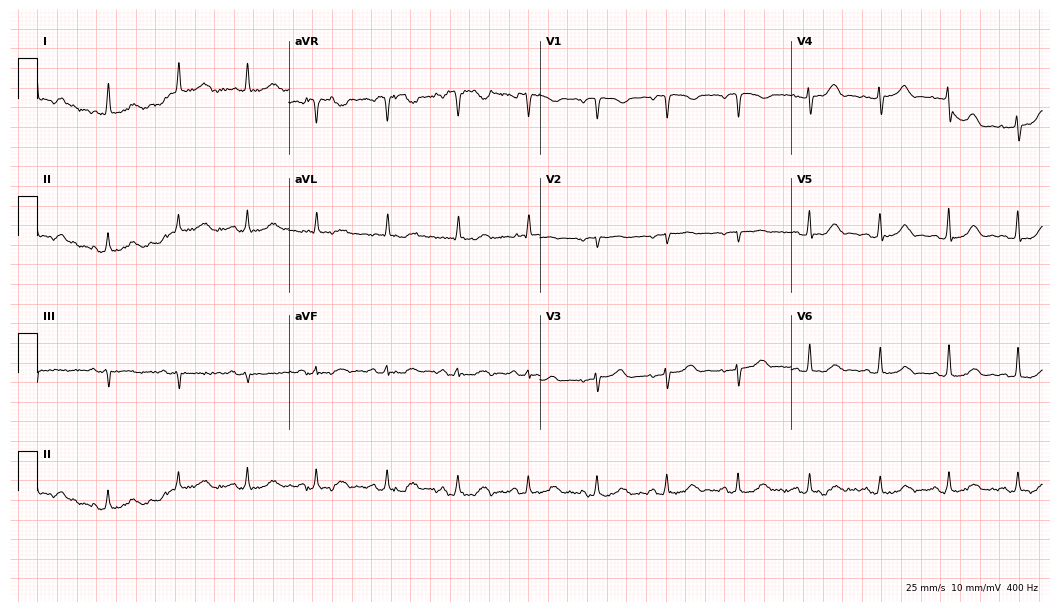
Electrocardiogram (10.2-second recording at 400 Hz), a female patient, 75 years old. Of the six screened findings (first-degree AV block, right bundle branch block, left bundle branch block, sinus bradycardia, atrial fibrillation, sinus tachycardia), none is recorded. Findings outside these six are not listed.